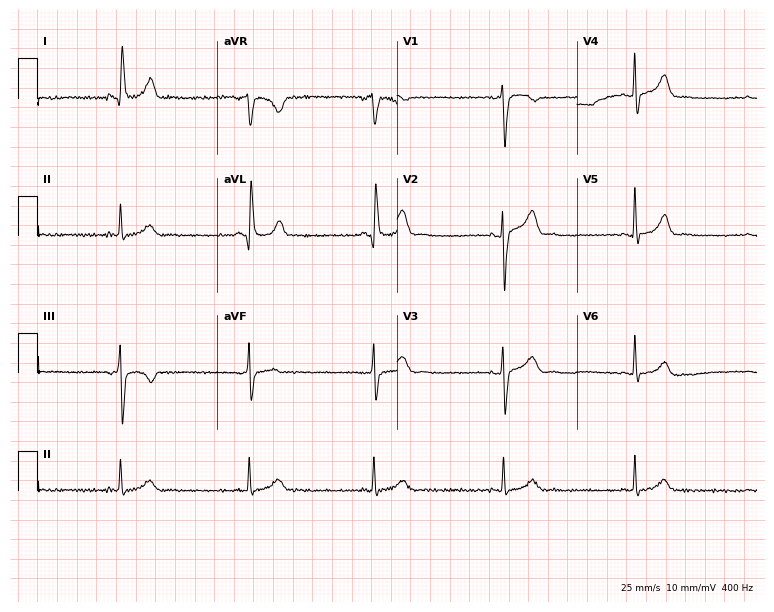
Resting 12-lead electrocardiogram. Patient: a 67-year-old woman. The tracing shows sinus bradycardia (a sinus rate of 50 beats per minute or less).